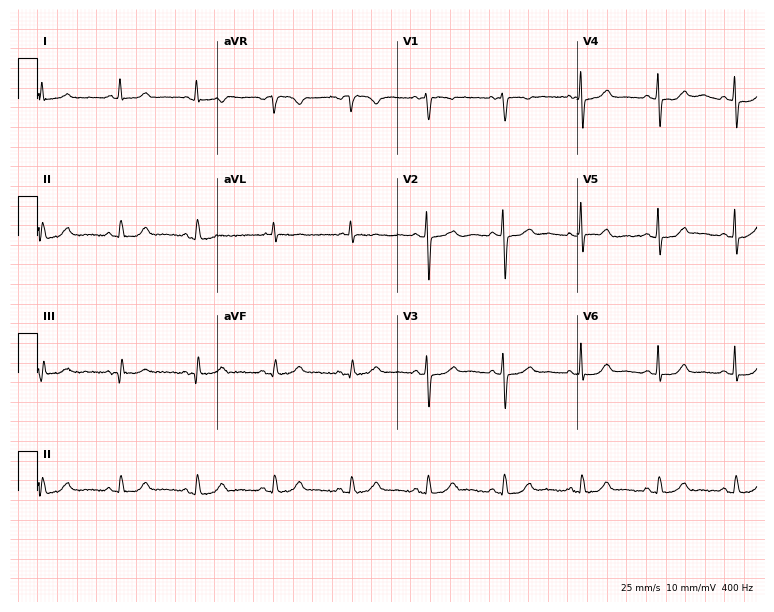
Electrocardiogram, a 70-year-old female patient. Of the six screened findings (first-degree AV block, right bundle branch block, left bundle branch block, sinus bradycardia, atrial fibrillation, sinus tachycardia), none is recorded.